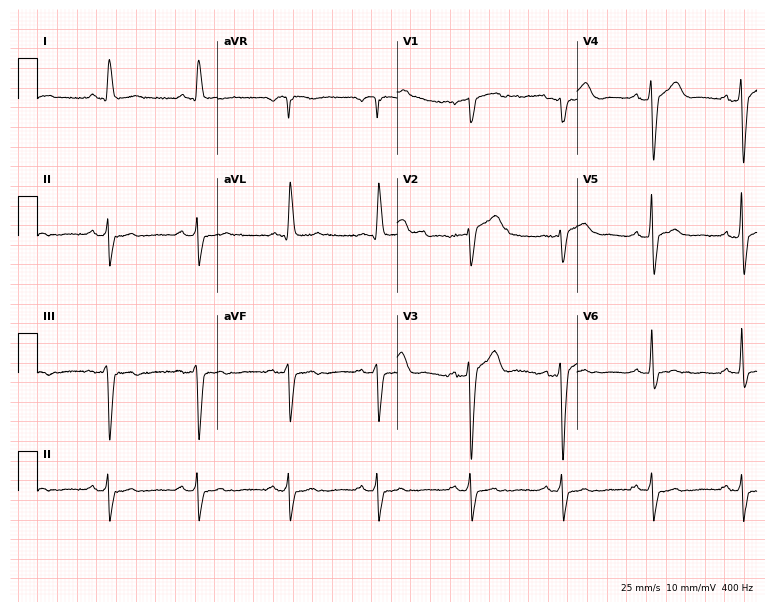
ECG — a male, 62 years old. Screened for six findings — first-degree AV block, right bundle branch block (RBBB), left bundle branch block (LBBB), sinus bradycardia, atrial fibrillation (AF), sinus tachycardia — none is recorded.